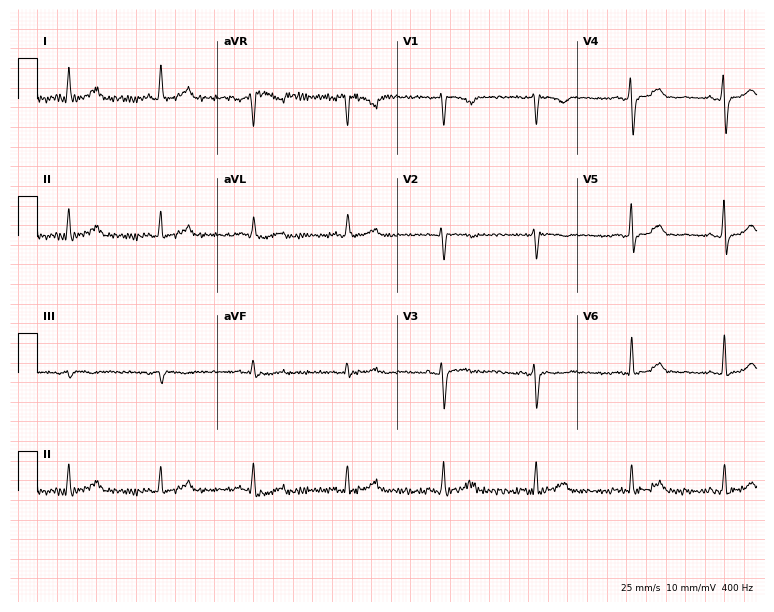
Resting 12-lead electrocardiogram. Patient: a female, 49 years old. None of these six findings is recorded: first-degree AV block, right bundle branch block (RBBB), left bundle branch block (LBBB), sinus bradycardia, atrial fibrillation (AF), sinus tachycardia.